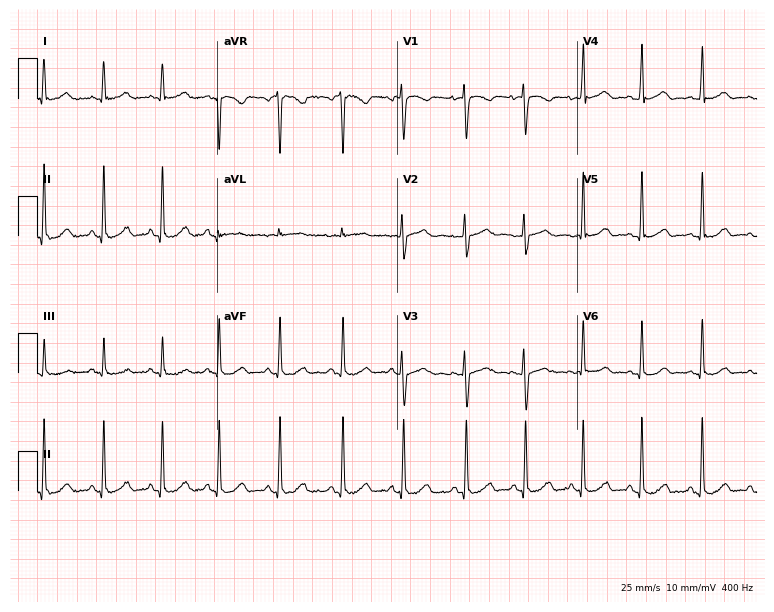
Standard 12-lead ECG recorded from a female patient, 23 years old (7.3-second recording at 400 Hz). None of these six findings is recorded: first-degree AV block, right bundle branch block, left bundle branch block, sinus bradycardia, atrial fibrillation, sinus tachycardia. Other findings, if any, are not listed.